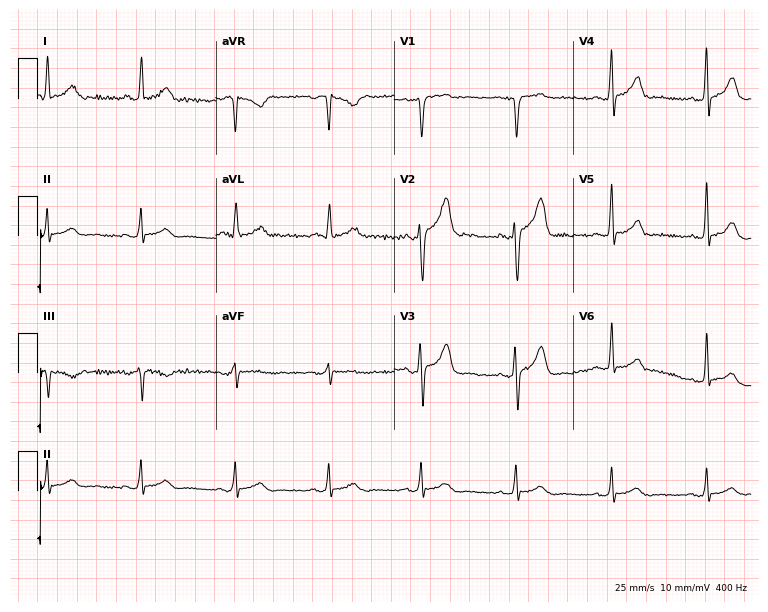
Electrocardiogram (7.3-second recording at 400 Hz), a man, 43 years old. Overall reading on record: normal ECG.